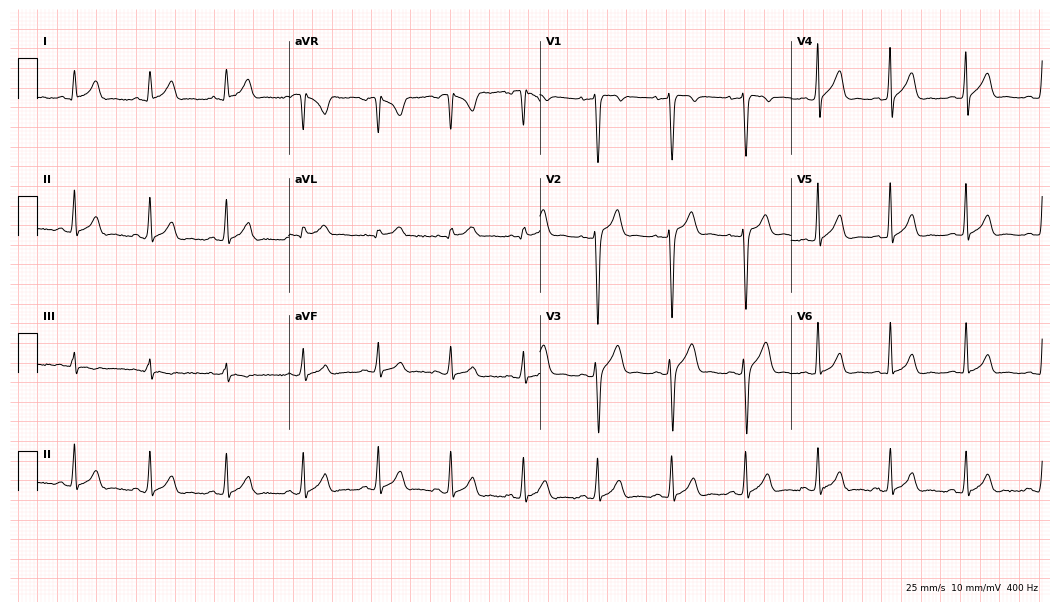
Resting 12-lead electrocardiogram. Patient: a 21-year-old male. Read as a normal ECG.